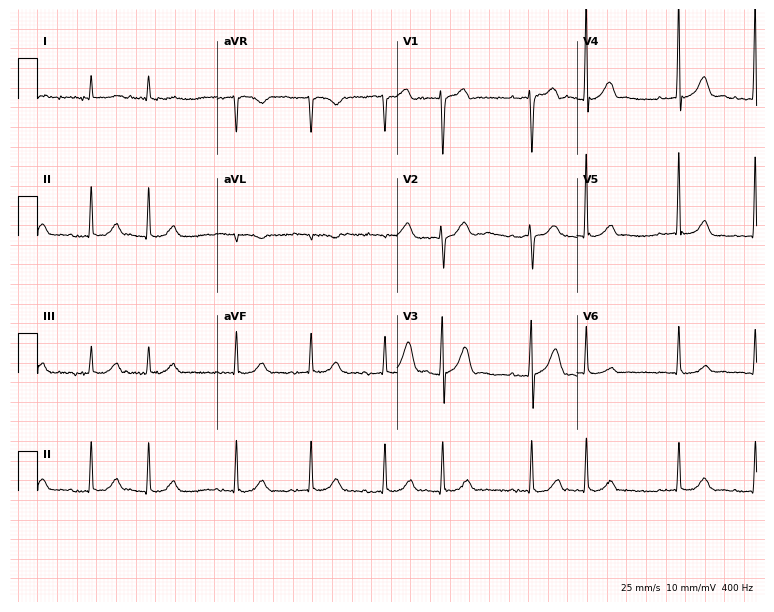
Standard 12-lead ECG recorded from a man, 85 years old. Read as a normal ECG.